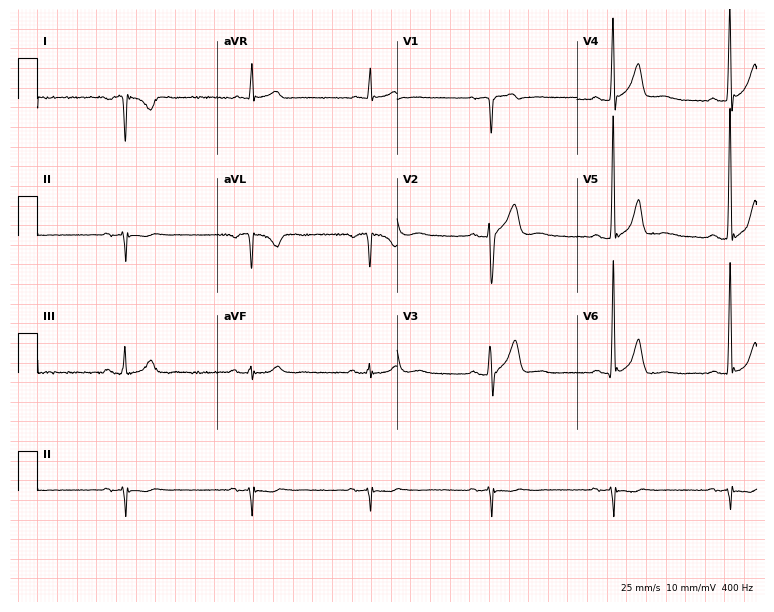
ECG (7.3-second recording at 400 Hz) — a male, 55 years old. Screened for six findings — first-degree AV block, right bundle branch block, left bundle branch block, sinus bradycardia, atrial fibrillation, sinus tachycardia — none is recorded. Findings outside these six are not listed.